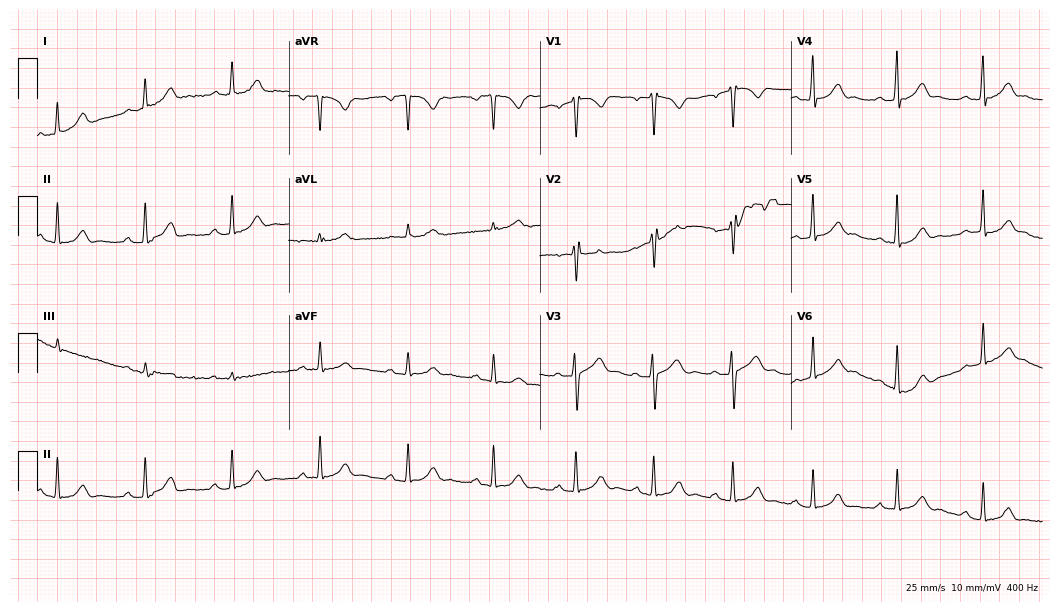
ECG (10.2-second recording at 400 Hz) — a 45-year-old male patient. Screened for six findings — first-degree AV block, right bundle branch block (RBBB), left bundle branch block (LBBB), sinus bradycardia, atrial fibrillation (AF), sinus tachycardia — none is recorded.